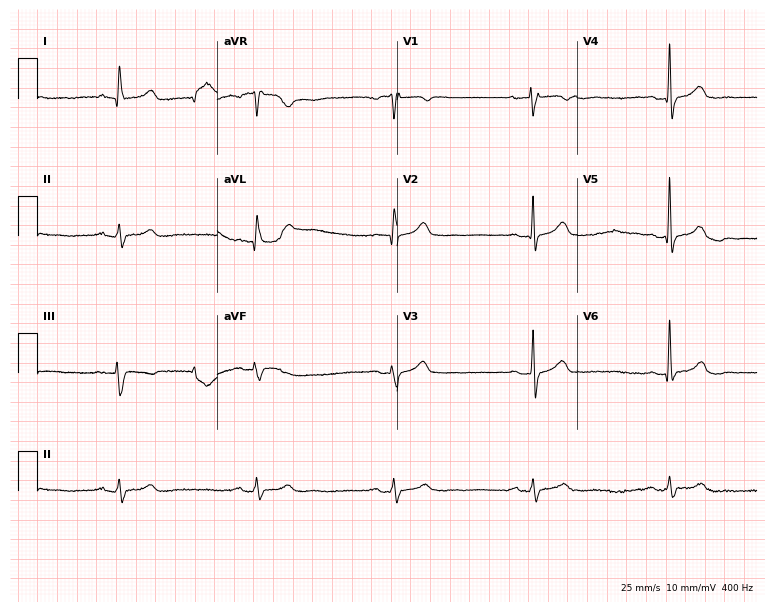
ECG (7.3-second recording at 400 Hz) — a male, 84 years old. Findings include sinus bradycardia (a sinus rate of 50 beats per minute or less).